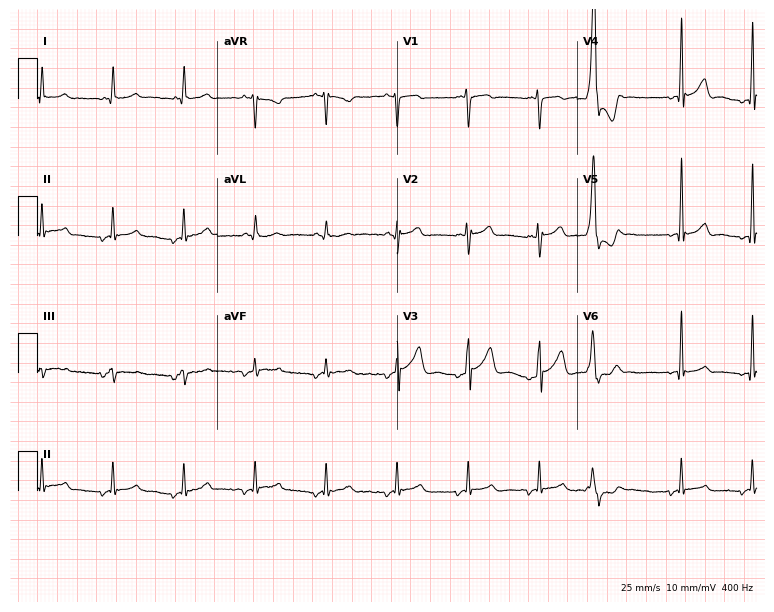
12-lead ECG (7.3-second recording at 400 Hz) from a man, 47 years old. Labelled as a normal ECG.